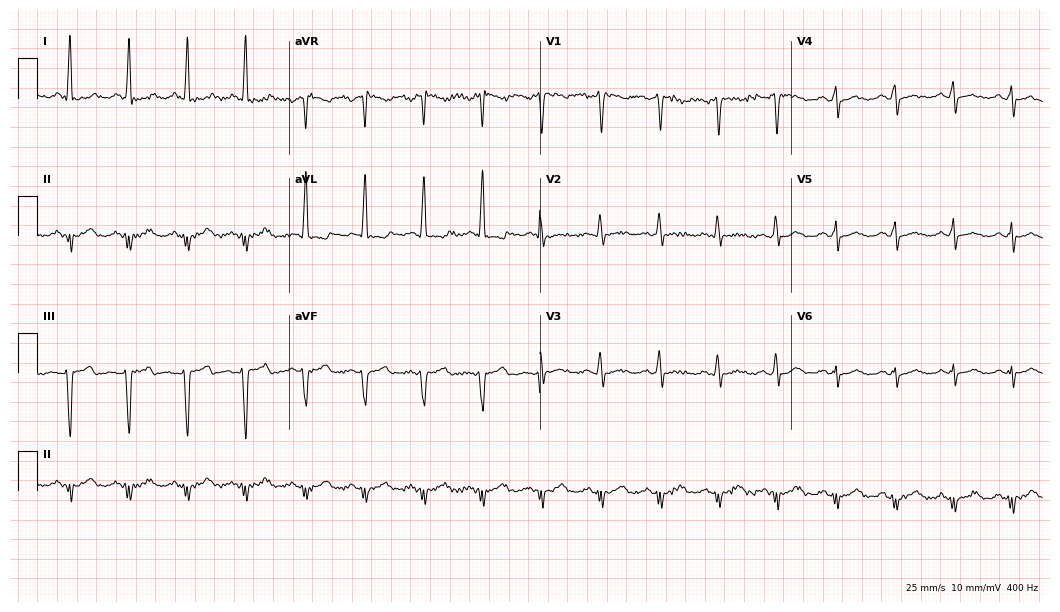
Standard 12-lead ECG recorded from a 70-year-old female patient. None of these six findings is recorded: first-degree AV block, right bundle branch block, left bundle branch block, sinus bradycardia, atrial fibrillation, sinus tachycardia.